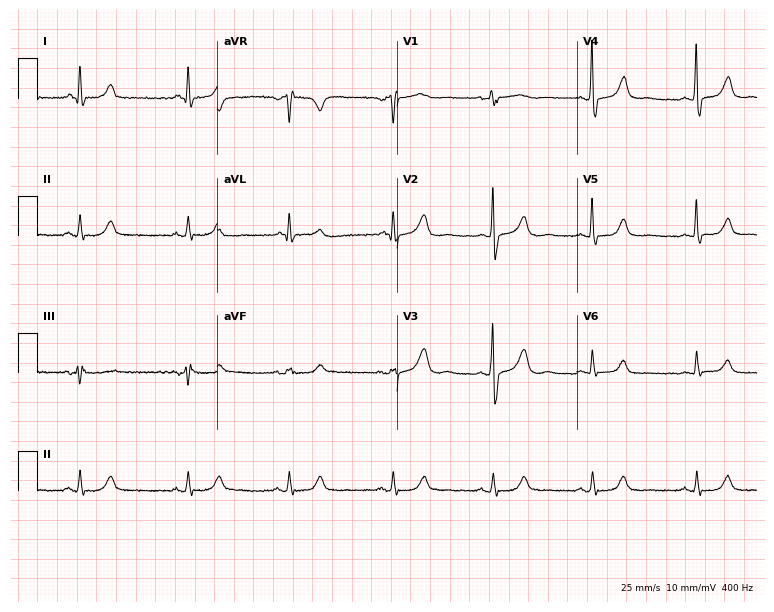
Electrocardiogram, a female, 75 years old. Overall reading on record: normal ECG.